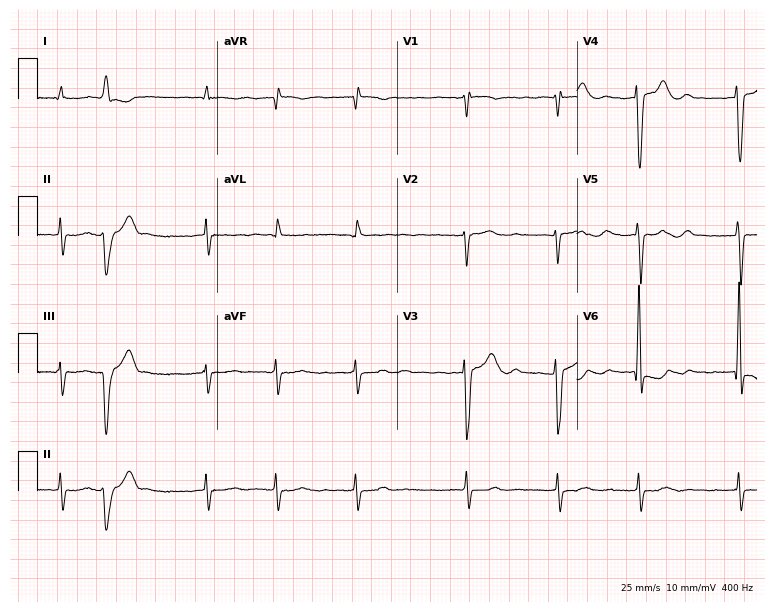
12-lead ECG from a male, 83 years old. Shows atrial fibrillation.